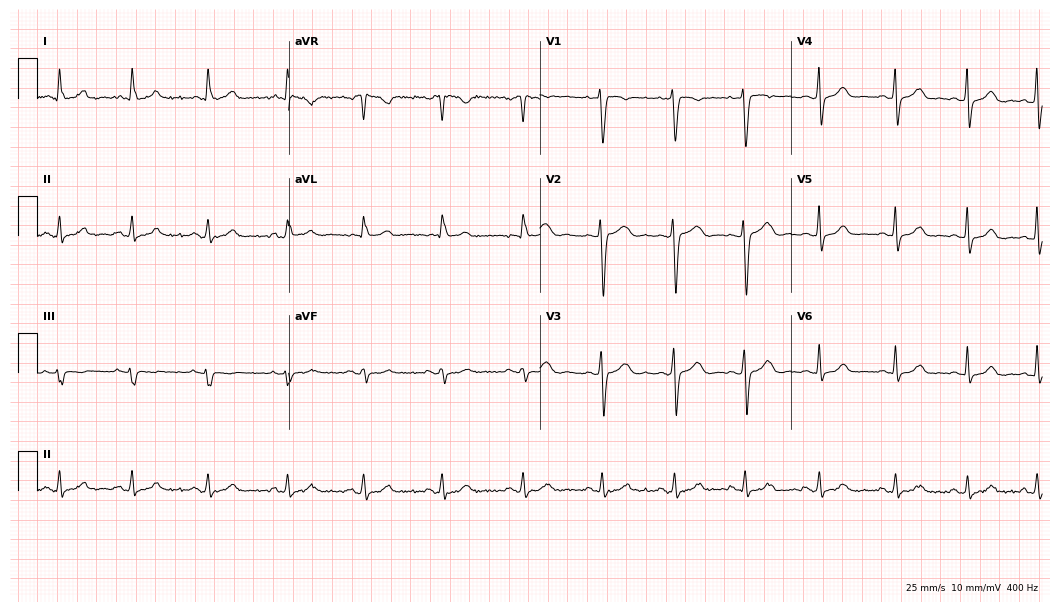
Electrocardiogram (10.2-second recording at 400 Hz), a woman, 33 years old. Overall reading on record: normal ECG.